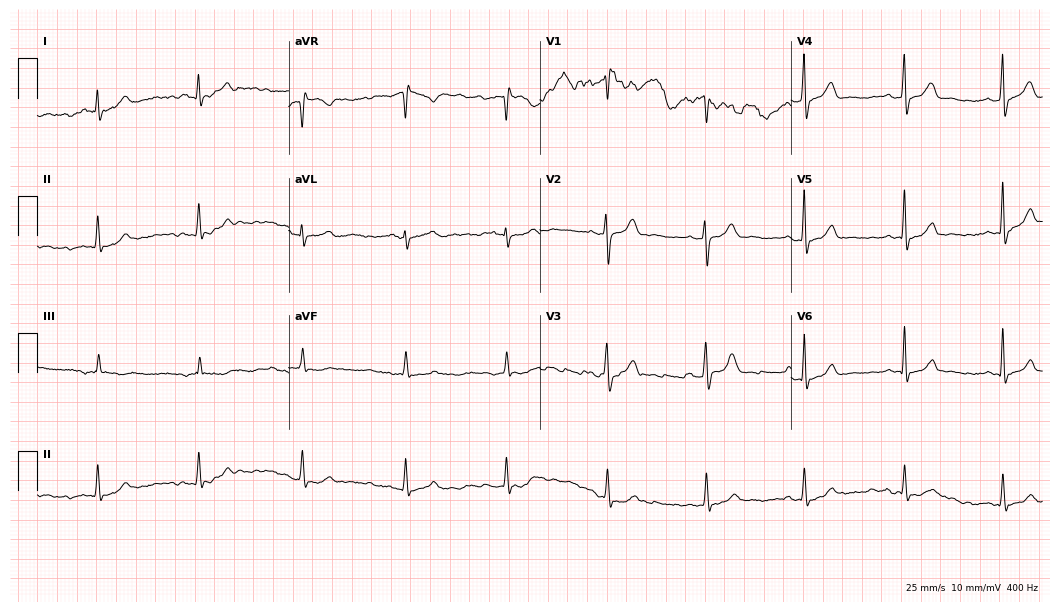
12-lead ECG from a 38-year-old male (10.2-second recording at 400 Hz). Recorded interpretation: within normal limits.